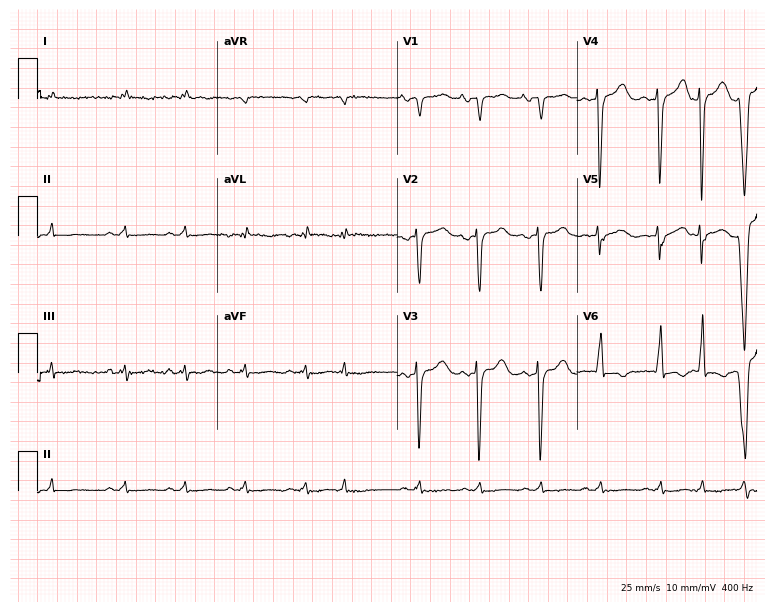
12-lead ECG (7.3-second recording at 400 Hz) from a man, 75 years old. Screened for six findings — first-degree AV block, right bundle branch block, left bundle branch block, sinus bradycardia, atrial fibrillation, sinus tachycardia — none is recorded. Other findings, if any, are not listed.